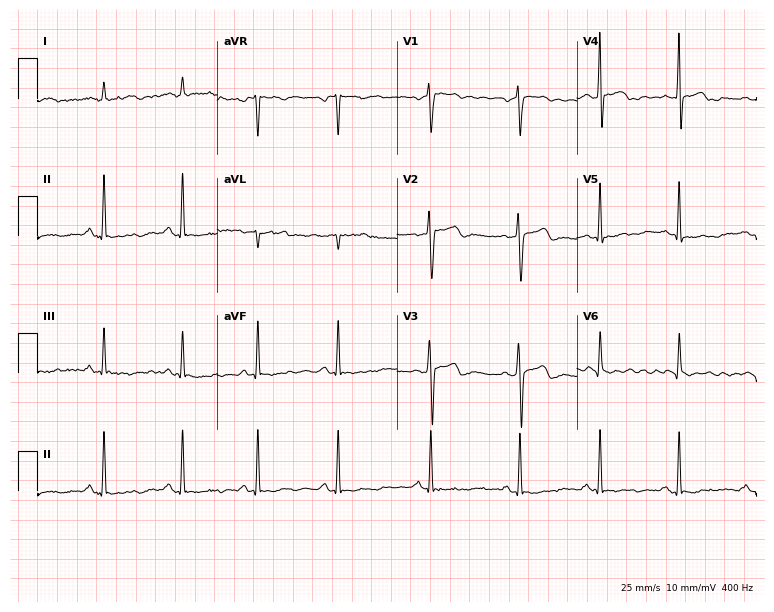
12-lead ECG from a male patient, 35 years old. No first-degree AV block, right bundle branch block, left bundle branch block, sinus bradycardia, atrial fibrillation or sinus tachycardia recorded for this tracing.